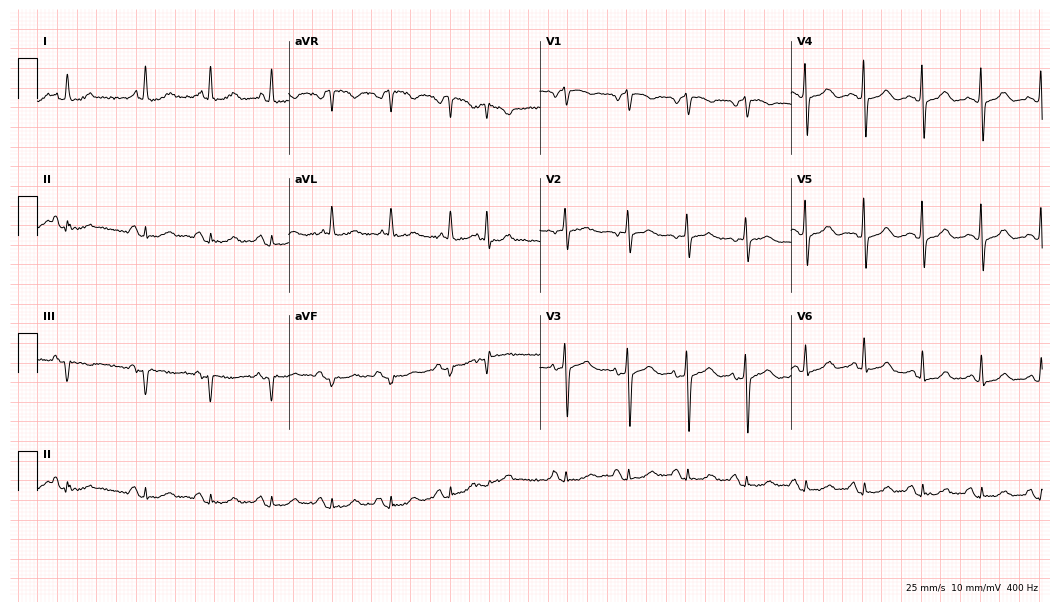
Resting 12-lead electrocardiogram. Patient: a 69-year-old female. Read as a normal ECG.